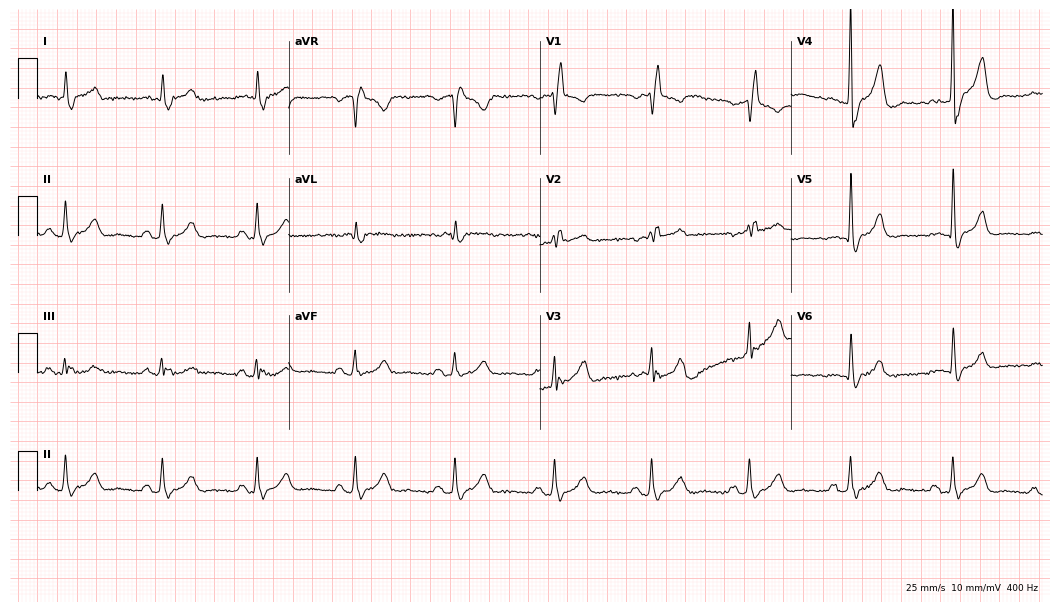
Standard 12-lead ECG recorded from a man, 56 years old (10.2-second recording at 400 Hz). The tracing shows right bundle branch block (RBBB).